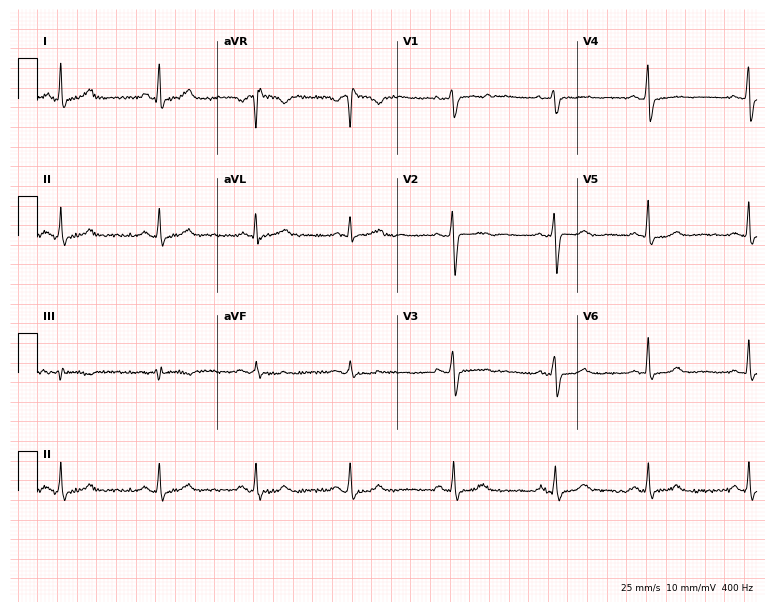
Electrocardiogram, a female, 38 years old. Of the six screened findings (first-degree AV block, right bundle branch block (RBBB), left bundle branch block (LBBB), sinus bradycardia, atrial fibrillation (AF), sinus tachycardia), none is recorded. Other findings, if any, are not listed.